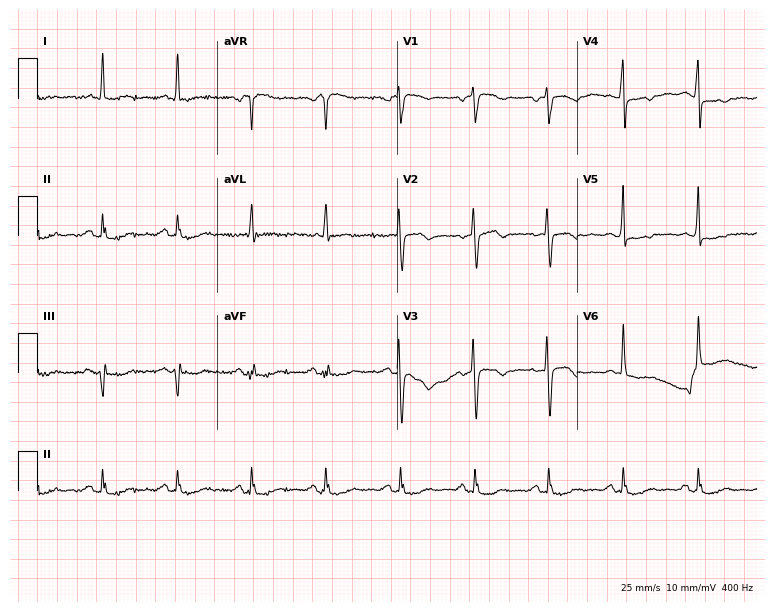
Standard 12-lead ECG recorded from a female, 78 years old (7.3-second recording at 400 Hz). None of these six findings is recorded: first-degree AV block, right bundle branch block, left bundle branch block, sinus bradycardia, atrial fibrillation, sinus tachycardia.